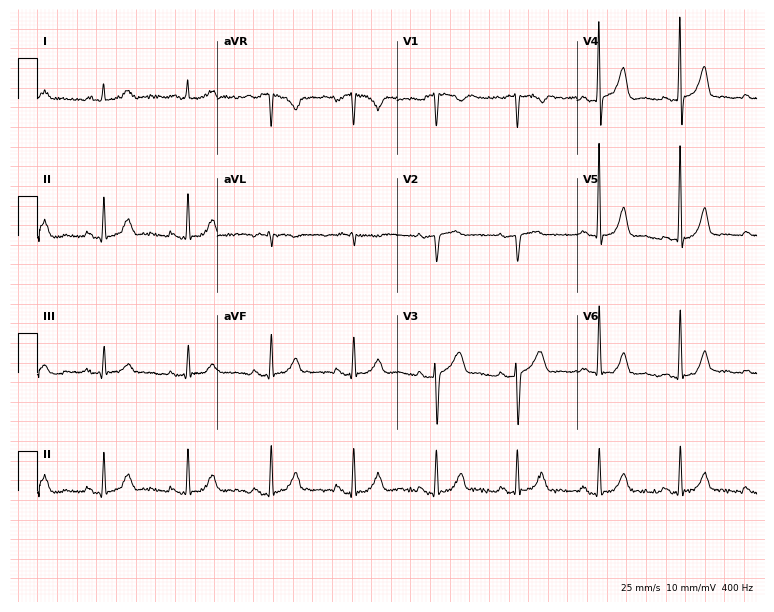
Standard 12-lead ECG recorded from a male, 74 years old (7.3-second recording at 400 Hz). Read as a normal ECG.